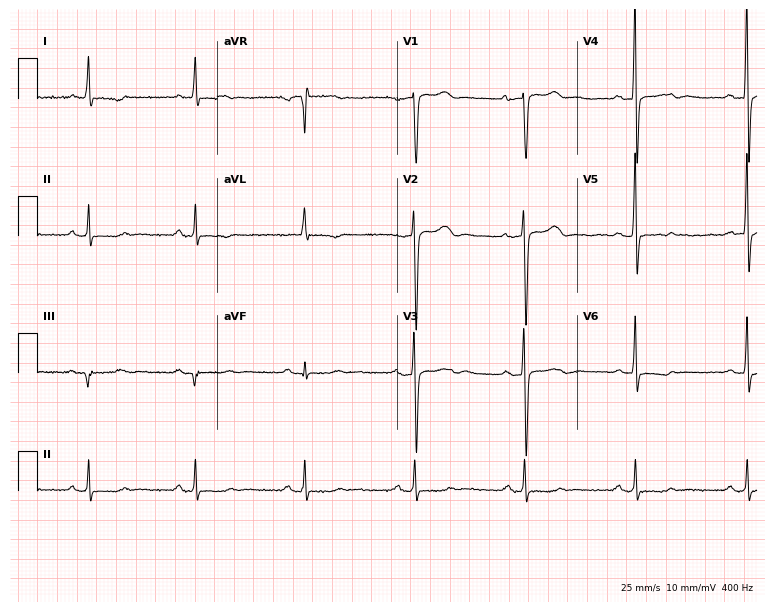
Standard 12-lead ECG recorded from a female, 81 years old. None of these six findings is recorded: first-degree AV block, right bundle branch block, left bundle branch block, sinus bradycardia, atrial fibrillation, sinus tachycardia. Only these six findings were labelled.